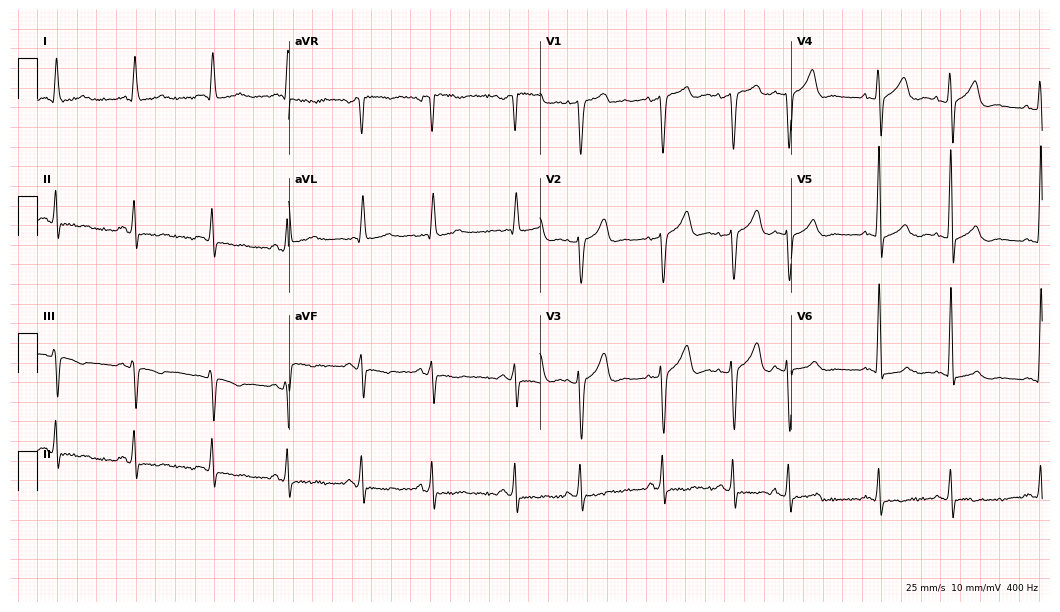
Electrocardiogram (10.2-second recording at 400 Hz), a 74-year-old male patient. Of the six screened findings (first-degree AV block, right bundle branch block, left bundle branch block, sinus bradycardia, atrial fibrillation, sinus tachycardia), none is recorded.